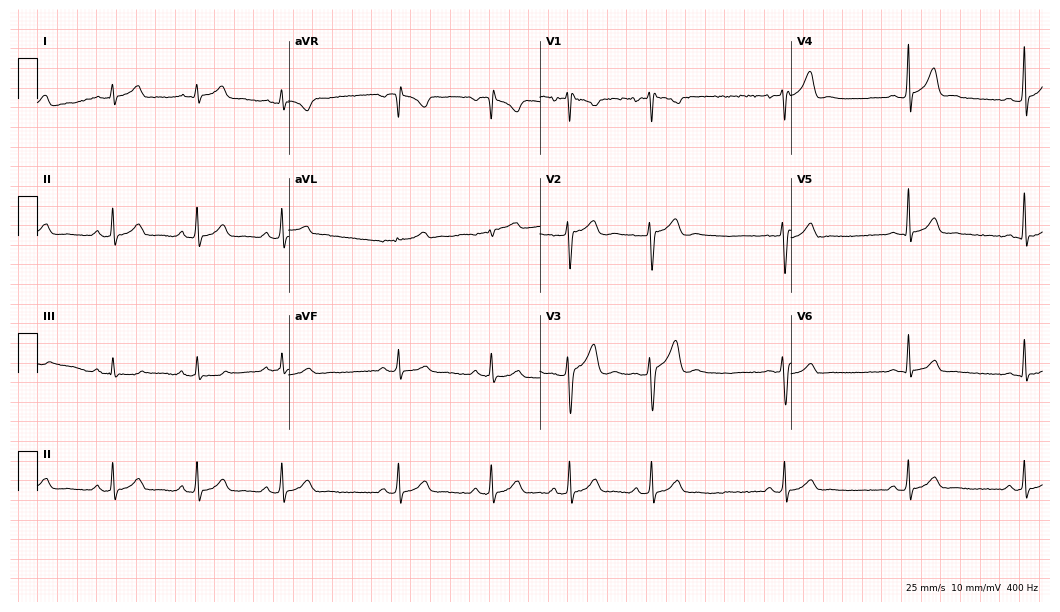
12-lead ECG from a male, 27 years old. Recorded interpretation: within normal limits.